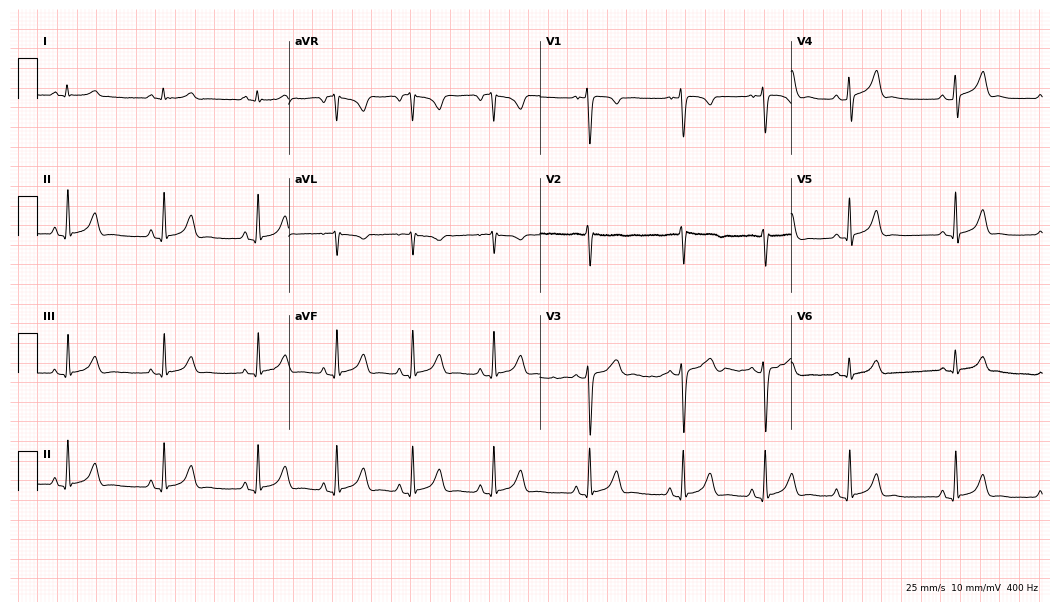
ECG (10.2-second recording at 400 Hz) — an 18-year-old woman. Labelled as a normal ECG.